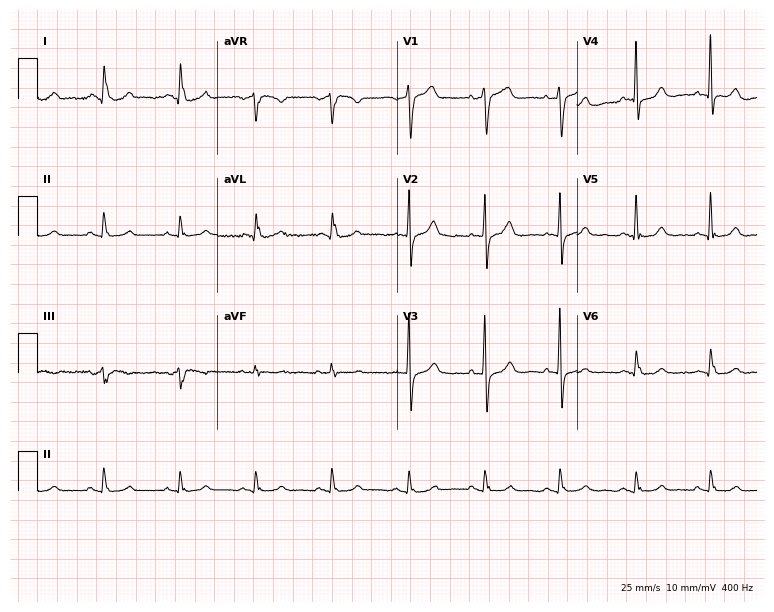
Resting 12-lead electrocardiogram (7.3-second recording at 400 Hz). Patient: a 74-year-old male. Read as a normal ECG.